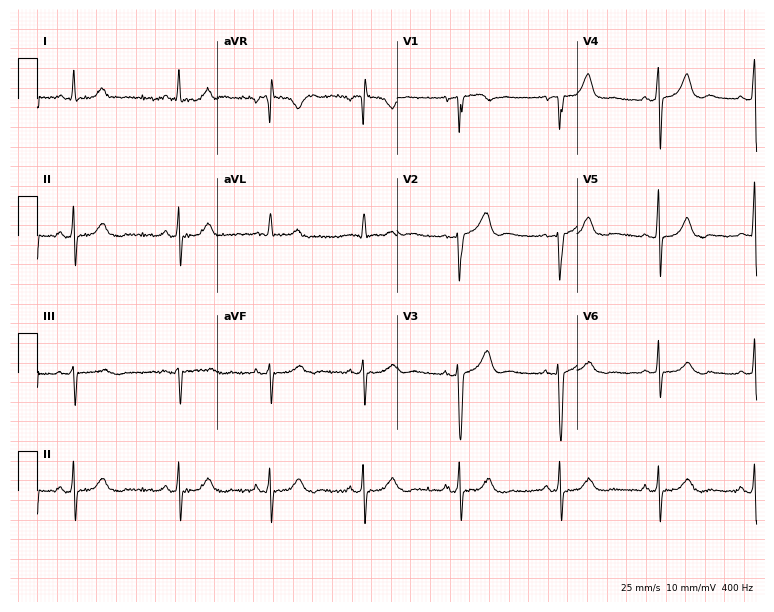
ECG (7.3-second recording at 400 Hz) — a female, 77 years old. Screened for six findings — first-degree AV block, right bundle branch block, left bundle branch block, sinus bradycardia, atrial fibrillation, sinus tachycardia — none is recorded.